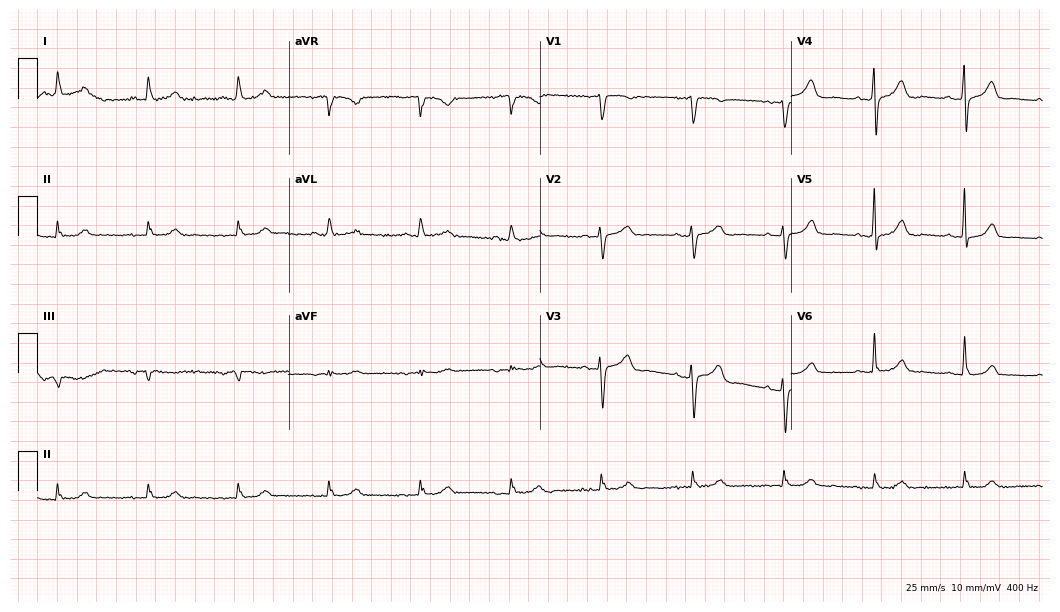
Standard 12-lead ECG recorded from a 72-year-old female (10.2-second recording at 400 Hz). Read as a normal ECG.